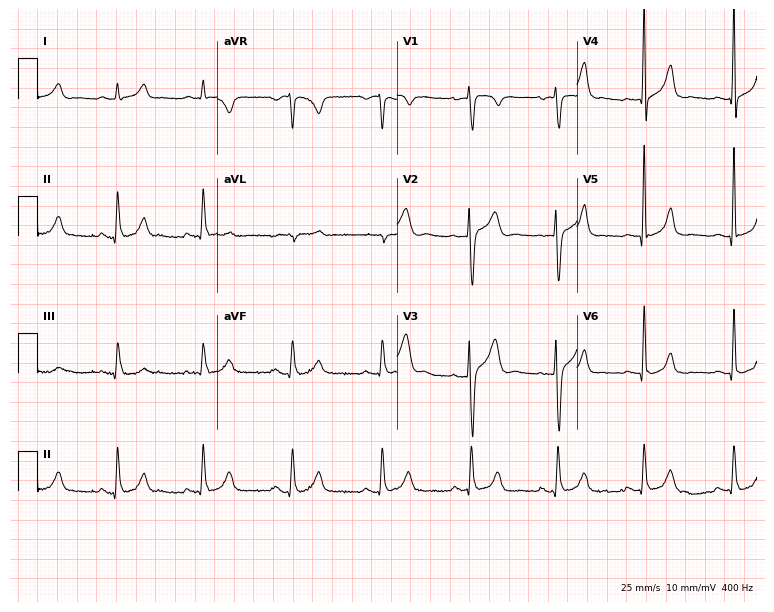
Standard 12-lead ECG recorded from a male, 29 years old. Read as a normal ECG.